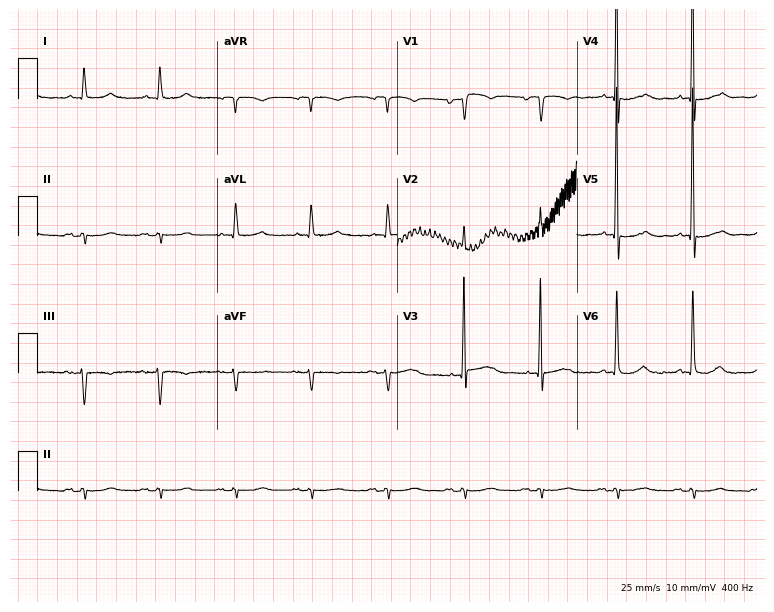
Electrocardiogram, a male patient, 81 years old. Of the six screened findings (first-degree AV block, right bundle branch block (RBBB), left bundle branch block (LBBB), sinus bradycardia, atrial fibrillation (AF), sinus tachycardia), none is recorded. Other findings, if any, are not listed.